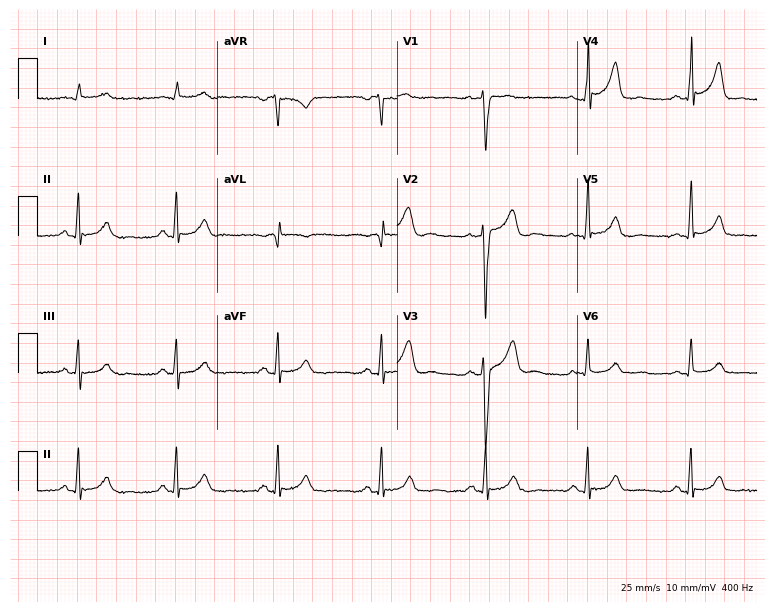
Electrocardiogram, a male, 68 years old. Overall reading on record: normal ECG.